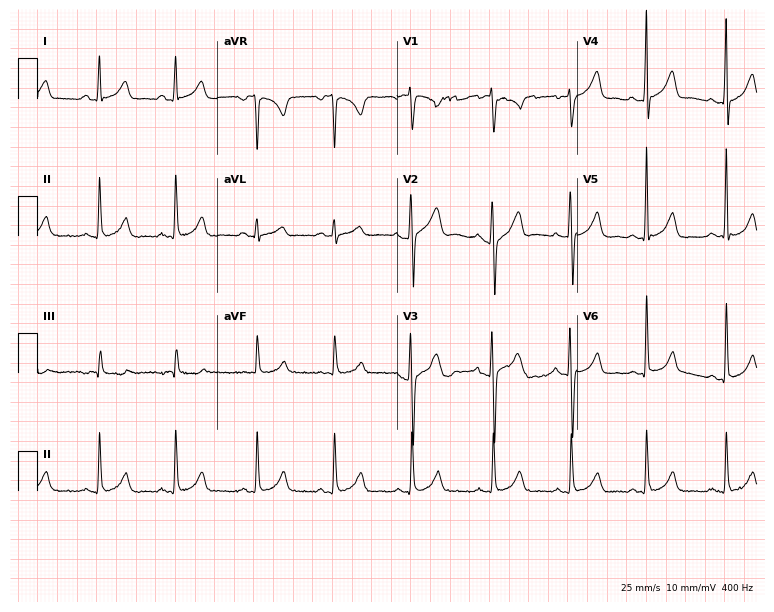
ECG (7.3-second recording at 400 Hz) — a 27-year-old female. Screened for six findings — first-degree AV block, right bundle branch block, left bundle branch block, sinus bradycardia, atrial fibrillation, sinus tachycardia — none is recorded.